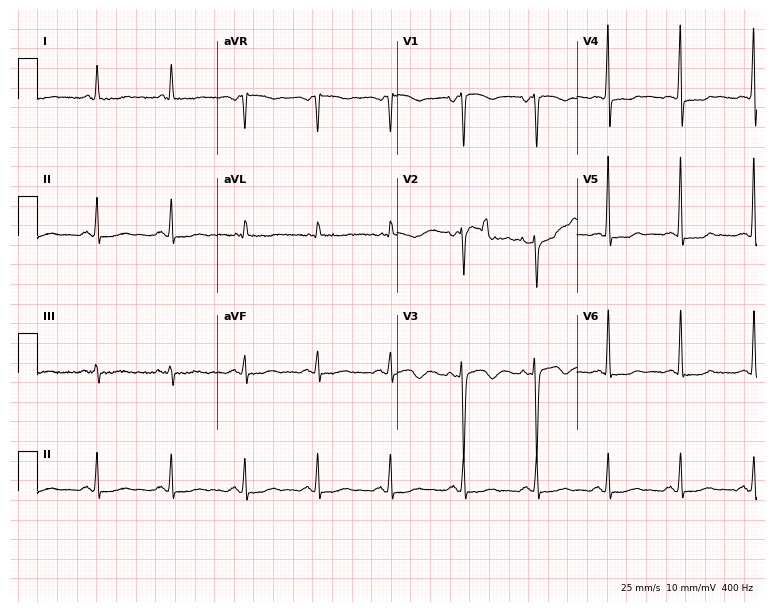
Electrocardiogram (7.3-second recording at 400 Hz), a 73-year-old female patient. Of the six screened findings (first-degree AV block, right bundle branch block, left bundle branch block, sinus bradycardia, atrial fibrillation, sinus tachycardia), none is recorded. Findings outside these six are not listed.